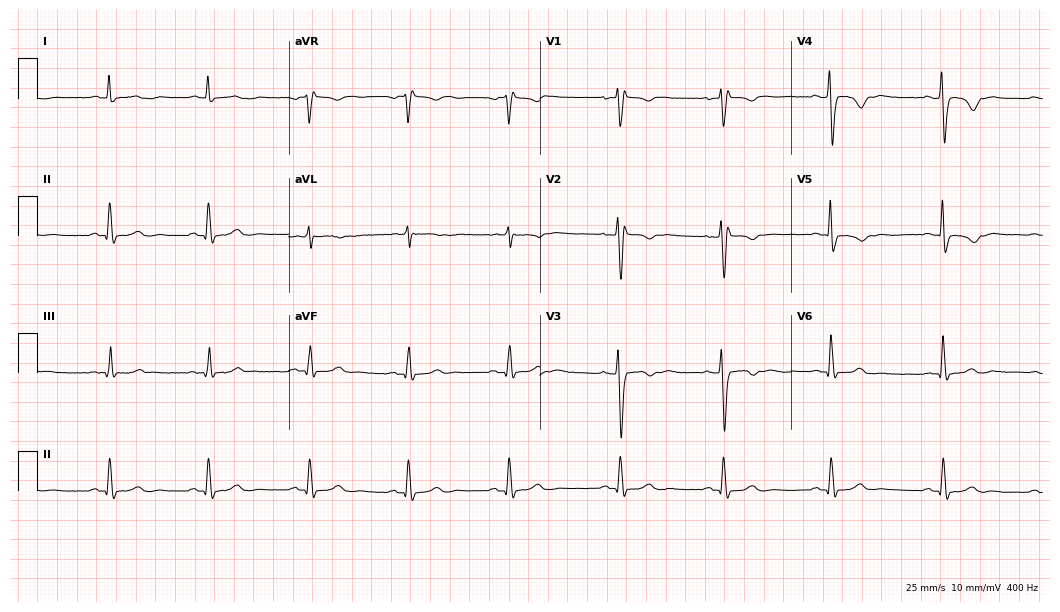
Electrocardiogram (10.2-second recording at 400 Hz), a female patient, 27 years old. Interpretation includes right bundle branch block (RBBB).